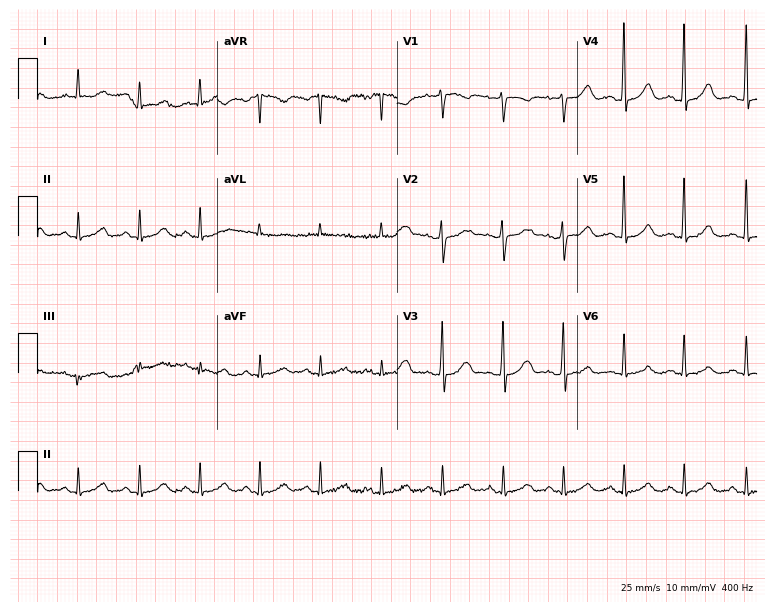
Electrocardiogram, a woman, 43 years old. Overall reading on record: normal ECG.